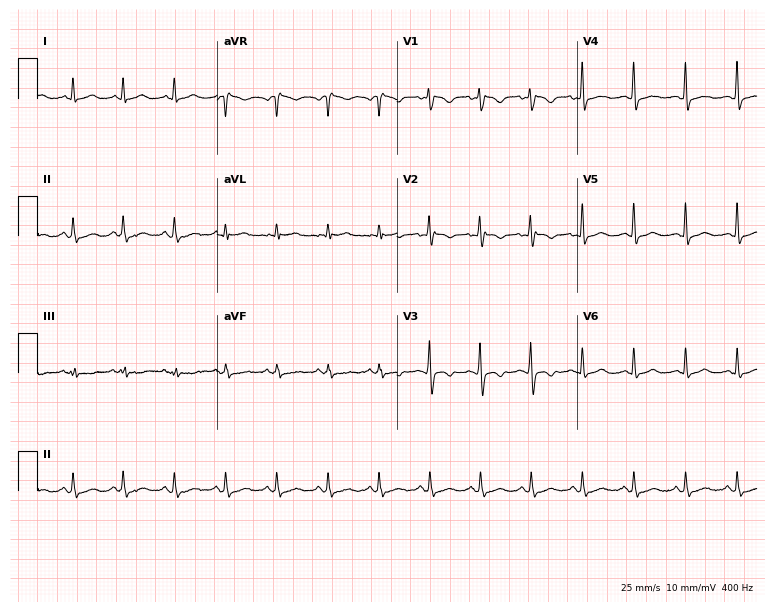
ECG — a 25-year-old female patient. Findings include sinus tachycardia (a sinus rate of 100 beats per minute or more).